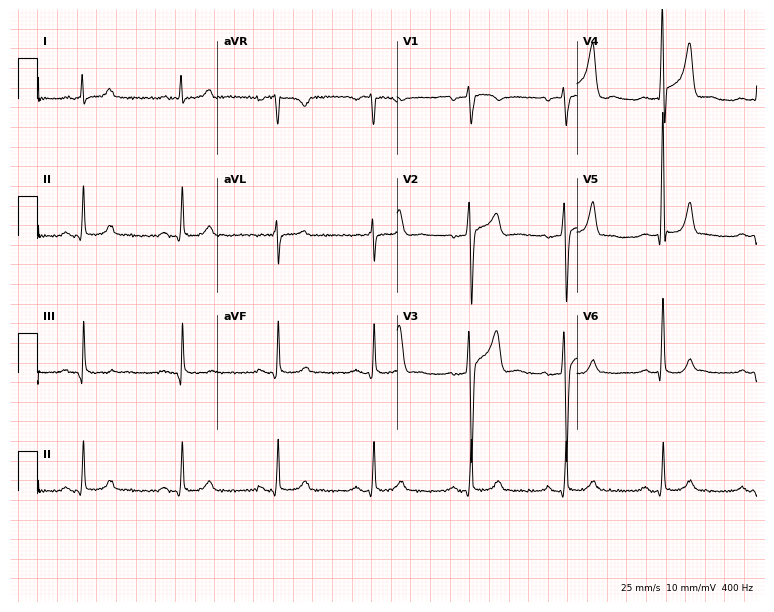
Resting 12-lead electrocardiogram (7.3-second recording at 400 Hz). Patient: a 56-year-old man. None of these six findings is recorded: first-degree AV block, right bundle branch block (RBBB), left bundle branch block (LBBB), sinus bradycardia, atrial fibrillation (AF), sinus tachycardia.